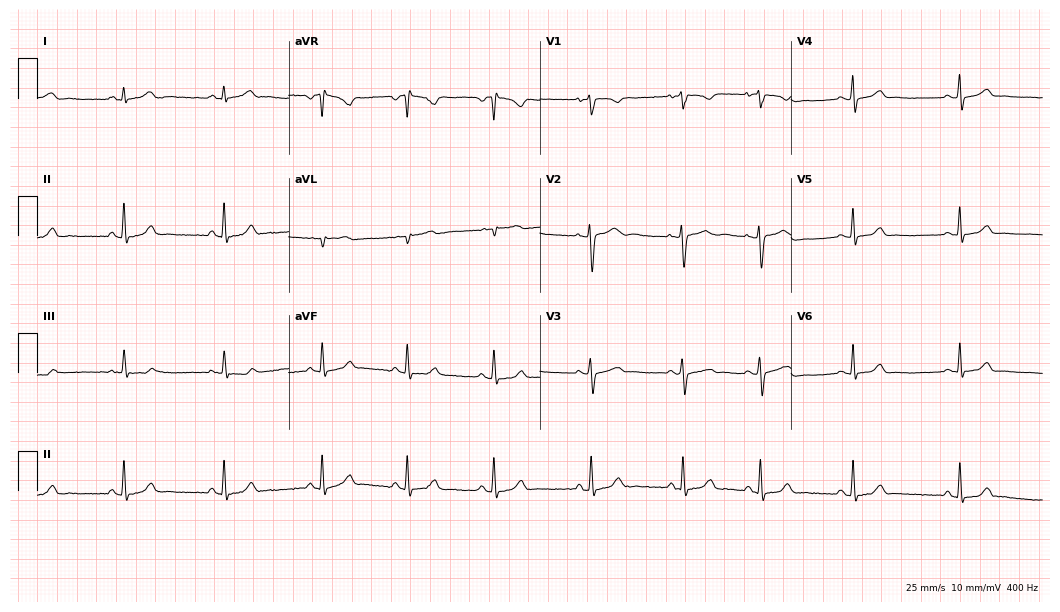
12-lead ECG from a female patient, 17 years old (10.2-second recording at 400 Hz). Recorded interpretation: within normal limits.